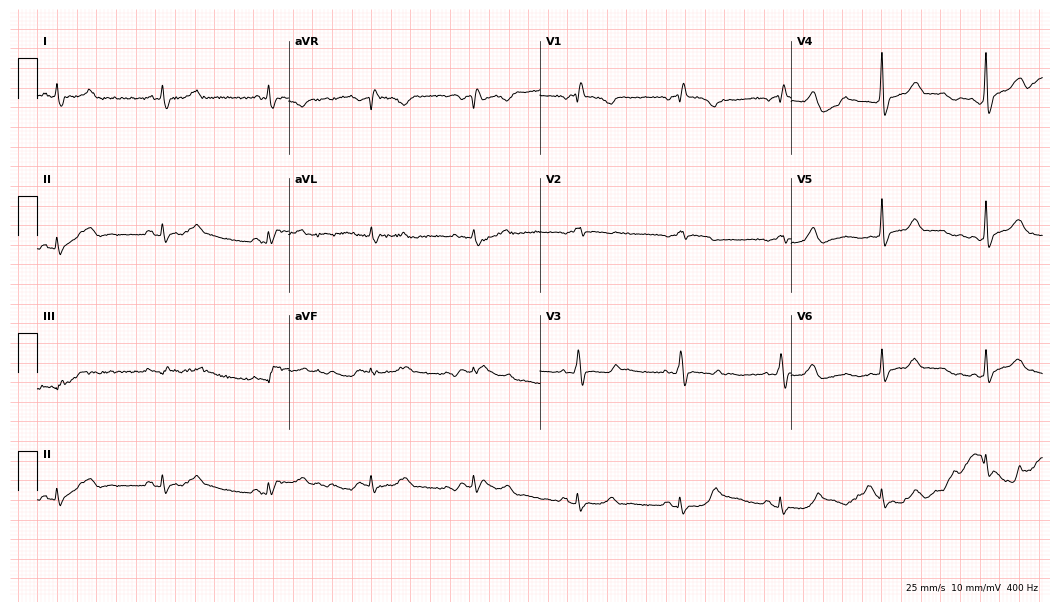
Resting 12-lead electrocardiogram. Patient: a 70-year-old female. None of these six findings is recorded: first-degree AV block, right bundle branch block (RBBB), left bundle branch block (LBBB), sinus bradycardia, atrial fibrillation (AF), sinus tachycardia.